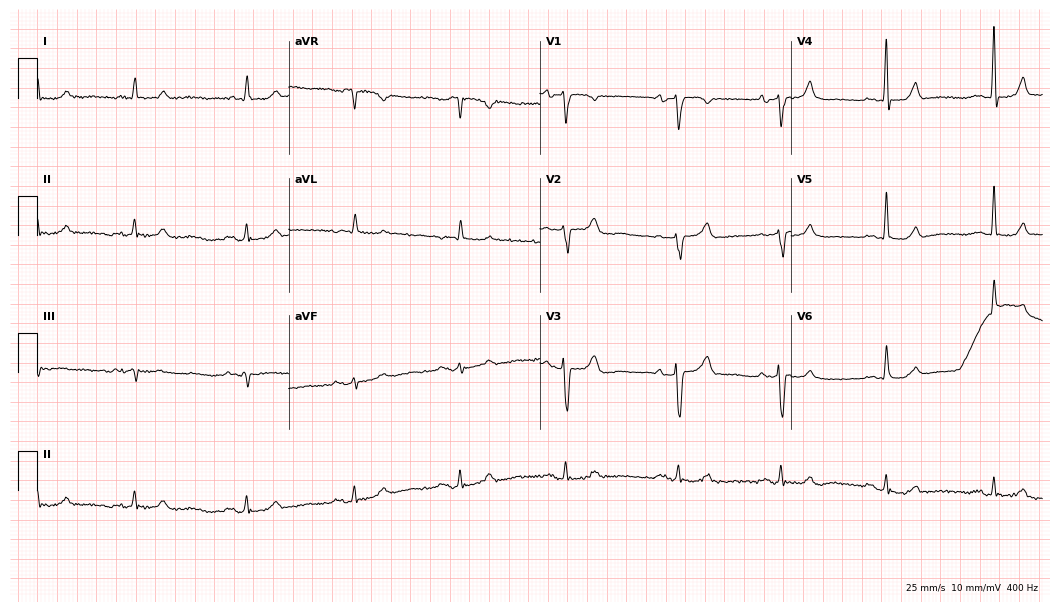
Electrocardiogram, a female, 81 years old. Overall reading on record: normal ECG.